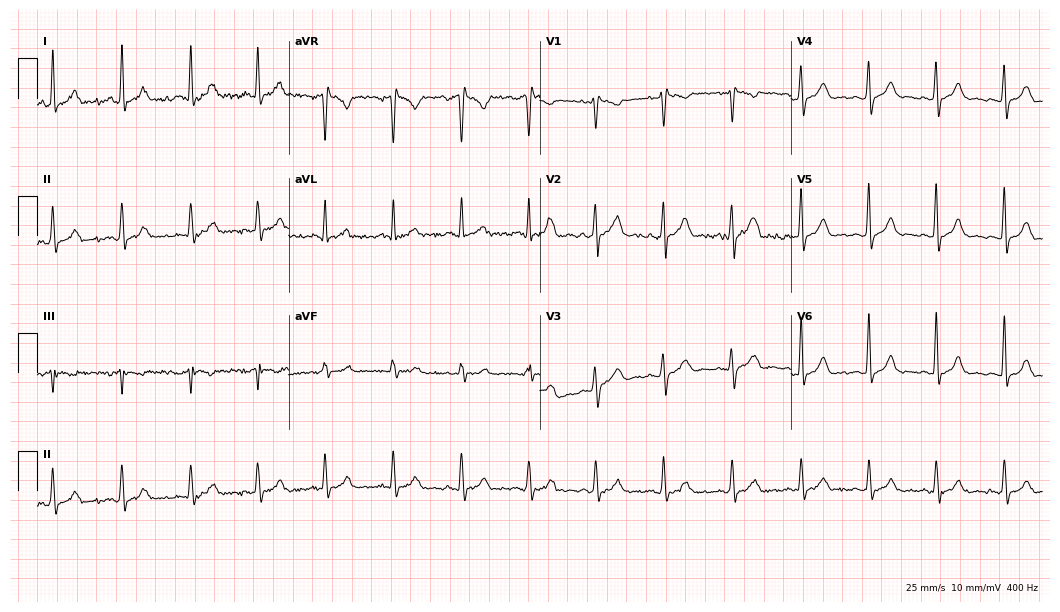
Electrocardiogram, a female, 35 years old. Overall reading on record: normal ECG.